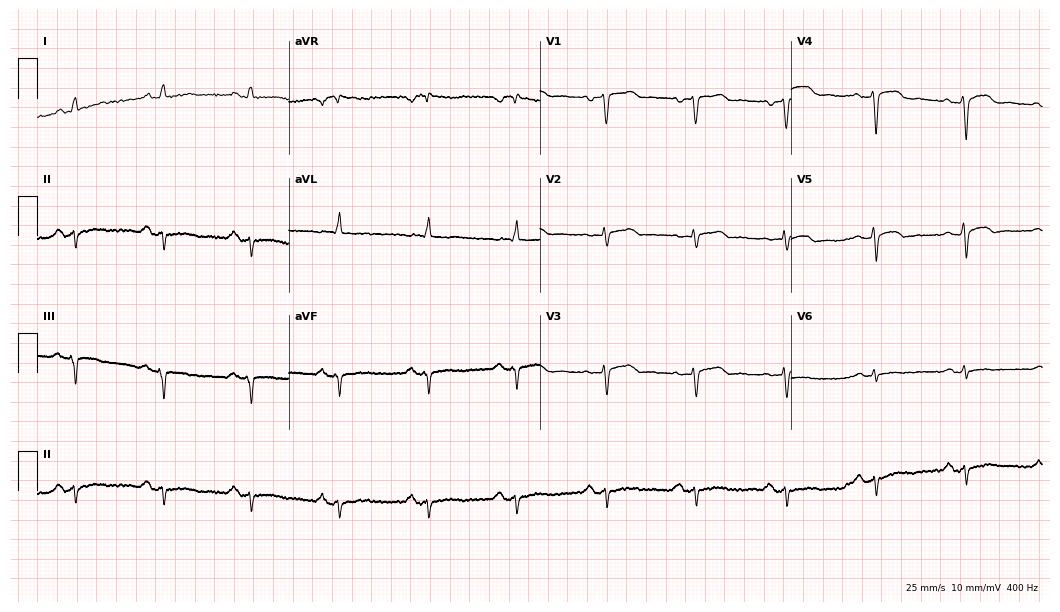
12-lead ECG (10.2-second recording at 400 Hz) from a 56-year-old female. Screened for six findings — first-degree AV block, right bundle branch block, left bundle branch block, sinus bradycardia, atrial fibrillation, sinus tachycardia — none is recorded. Findings outside these six are not listed.